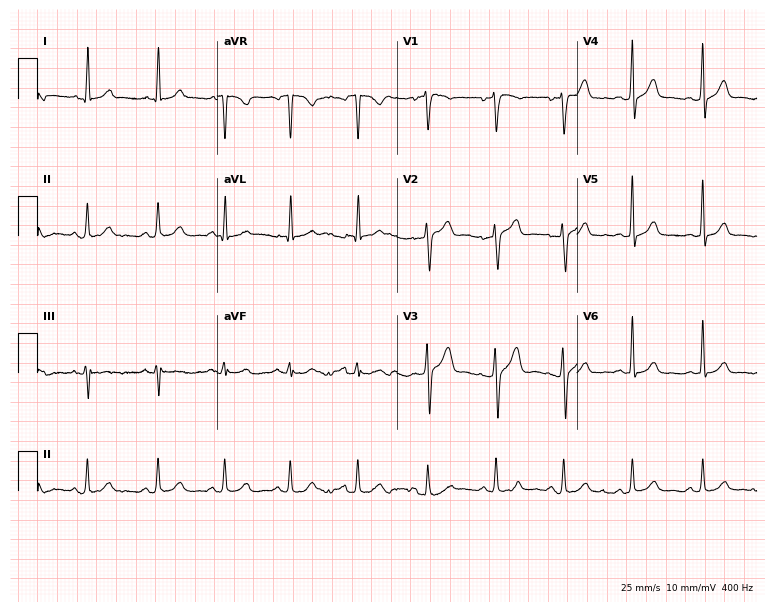
ECG (7.3-second recording at 400 Hz) — a male, 47 years old. Labelled as a normal ECG.